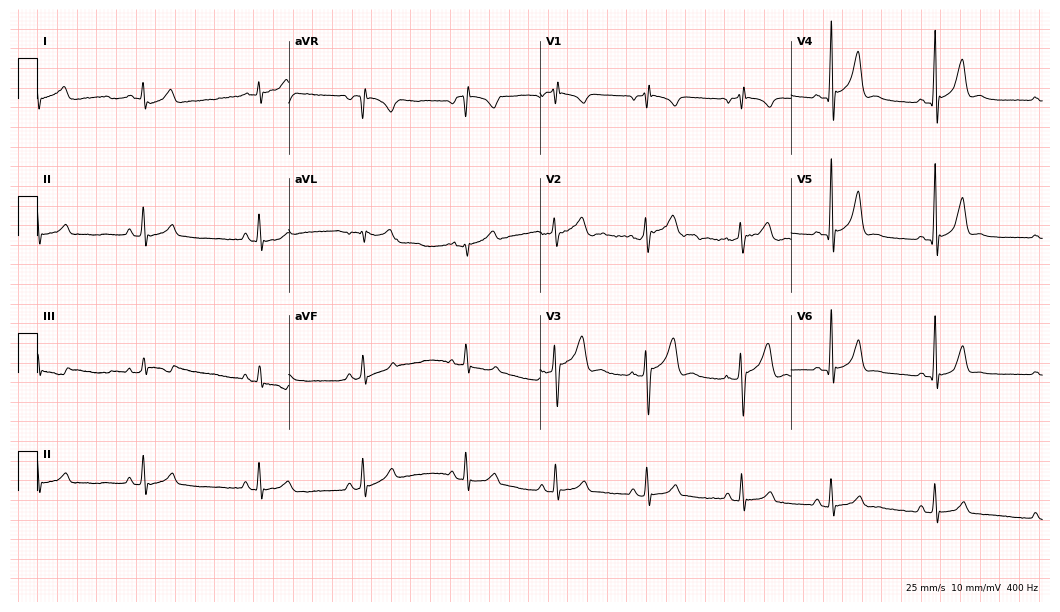
12-lead ECG from a 20-year-old man (10.2-second recording at 400 Hz). Recorded interpretation: within normal limits.